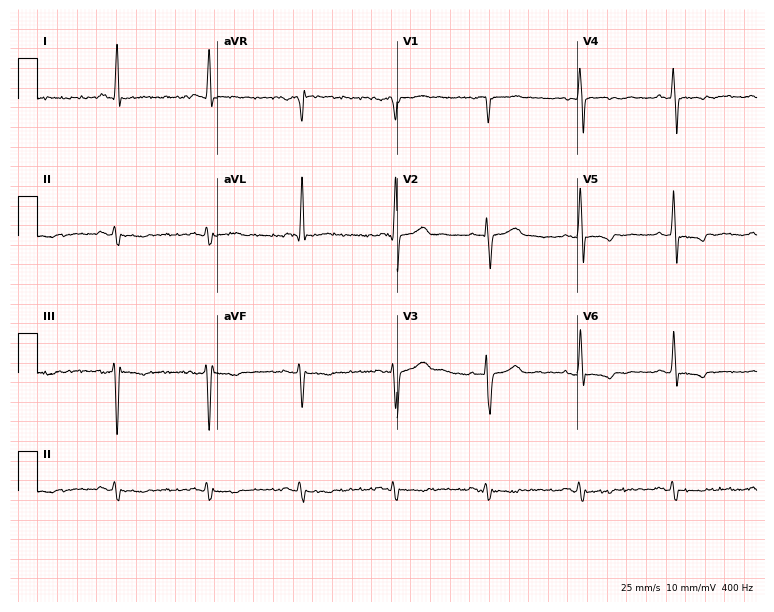
Resting 12-lead electrocardiogram. Patient: a man, 81 years old. None of these six findings is recorded: first-degree AV block, right bundle branch block (RBBB), left bundle branch block (LBBB), sinus bradycardia, atrial fibrillation (AF), sinus tachycardia.